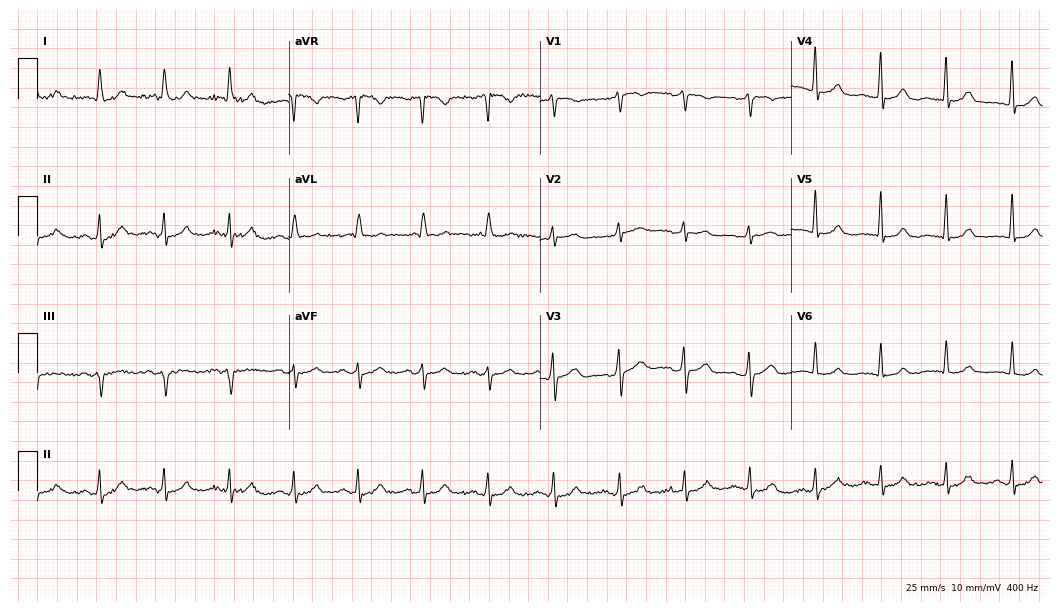
ECG — a female, 79 years old. Labelled as a normal ECG.